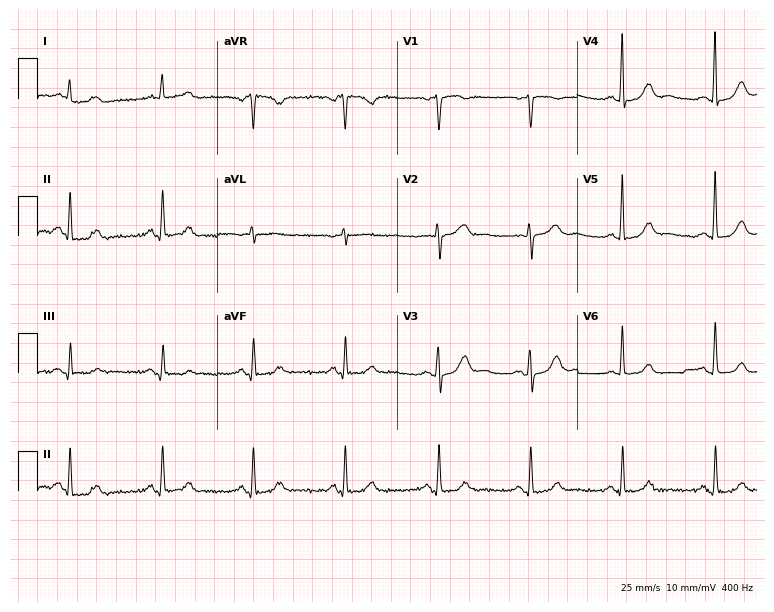
12-lead ECG from a woman, 78 years old. Labelled as a normal ECG.